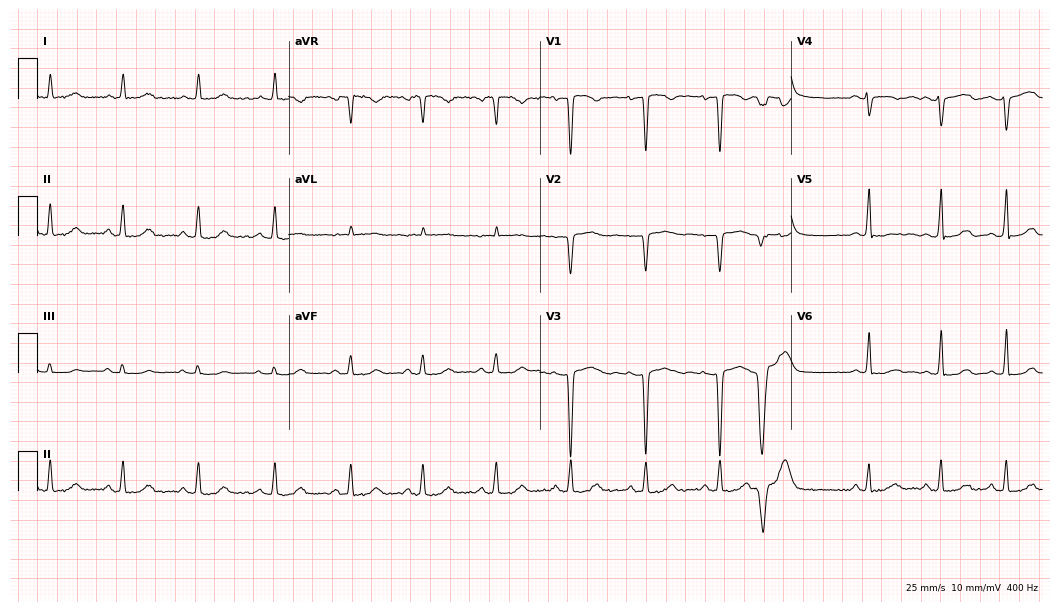
12-lead ECG from a 48-year-old female patient. No first-degree AV block, right bundle branch block, left bundle branch block, sinus bradycardia, atrial fibrillation or sinus tachycardia recorded for this tracing.